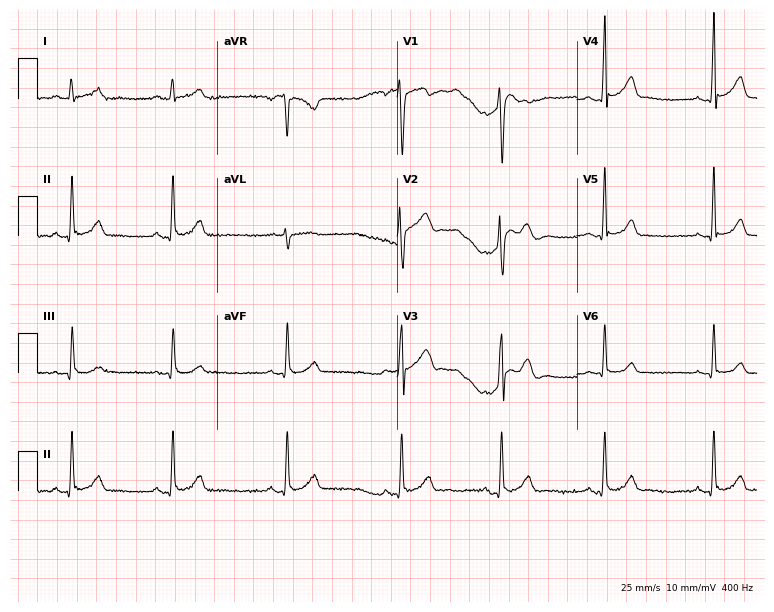
12-lead ECG (7.3-second recording at 400 Hz) from a 24-year-old male. Screened for six findings — first-degree AV block, right bundle branch block (RBBB), left bundle branch block (LBBB), sinus bradycardia, atrial fibrillation (AF), sinus tachycardia — none is recorded.